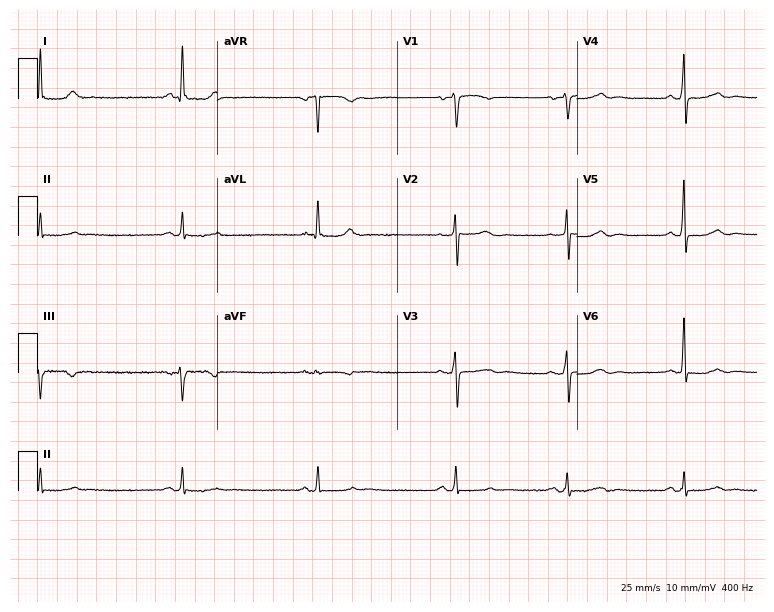
Electrocardiogram, a woman, 56 years old. Interpretation includes sinus bradycardia (a sinus rate of 50 beats per minute or less).